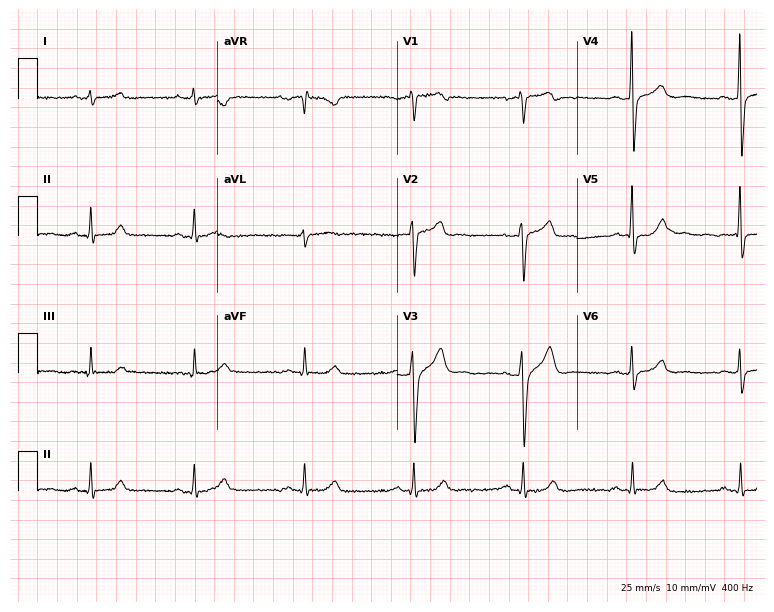
Resting 12-lead electrocardiogram. Patient: a 57-year-old man. Read as a normal ECG.